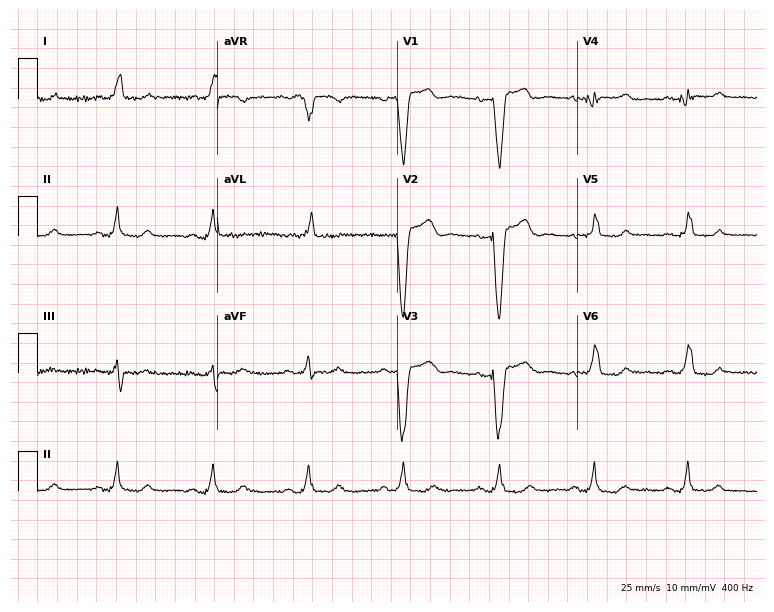
ECG — a female patient, 57 years old. Screened for six findings — first-degree AV block, right bundle branch block (RBBB), left bundle branch block (LBBB), sinus bradycardia, atrial fibrillation (AF), sinus tachycardia — none is recorded.